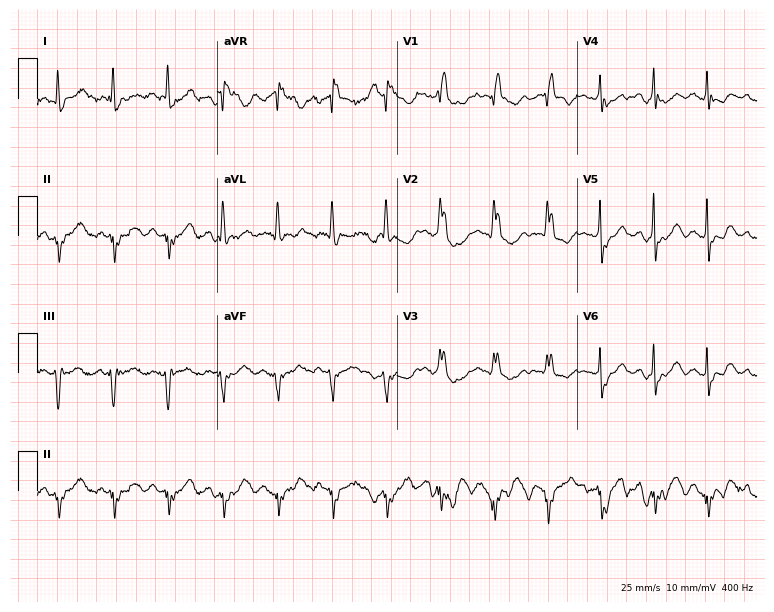
Standard 12-lead ECG recorded from a woman, 76 years old (7.3-second recording at 400 Hz). The tracing shows sinus tachycardia (a sinus rate of 100 beats per minute or more).